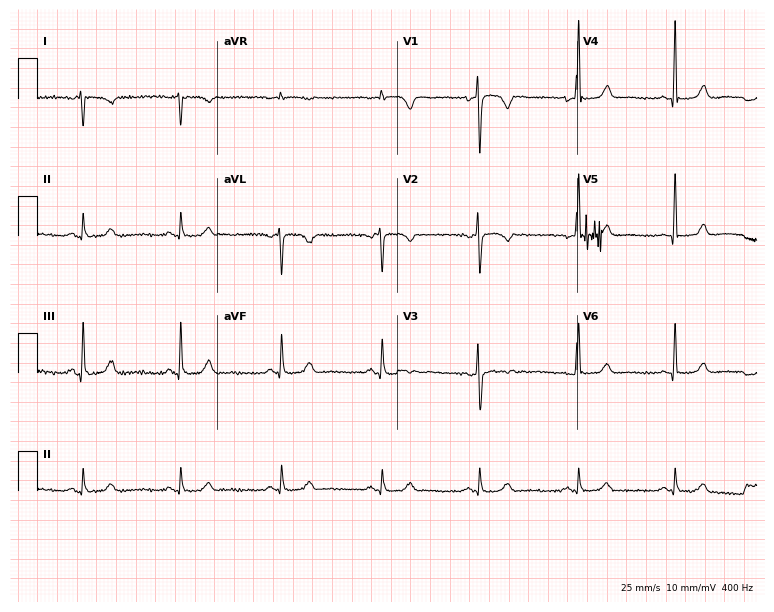
ECG (7.3-second recording at 400 Hz) — a 79-year-old woman. Screened for six findings — first-degree AV block, right bundle branch block (RBBB), left bundle branch block (LBBB), sinus bradycardia, atrial fibrillation (AF), sinus tachycardia — none is recorded.